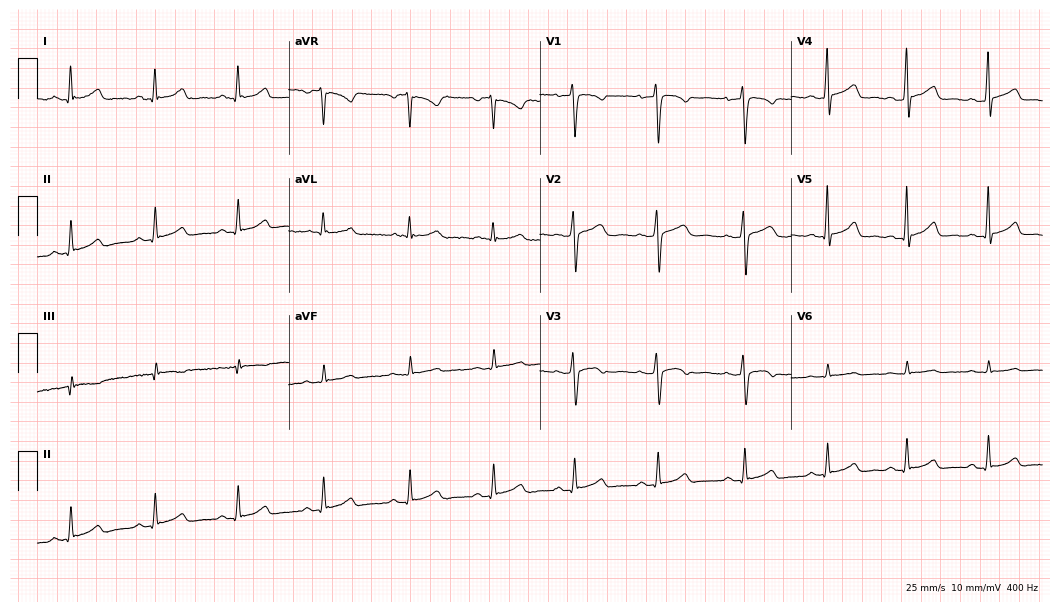
Standard 12-lead ECG recorded from a female, 39 years old (10.2-second recording at 400 Hz). Read as a normal ECG.